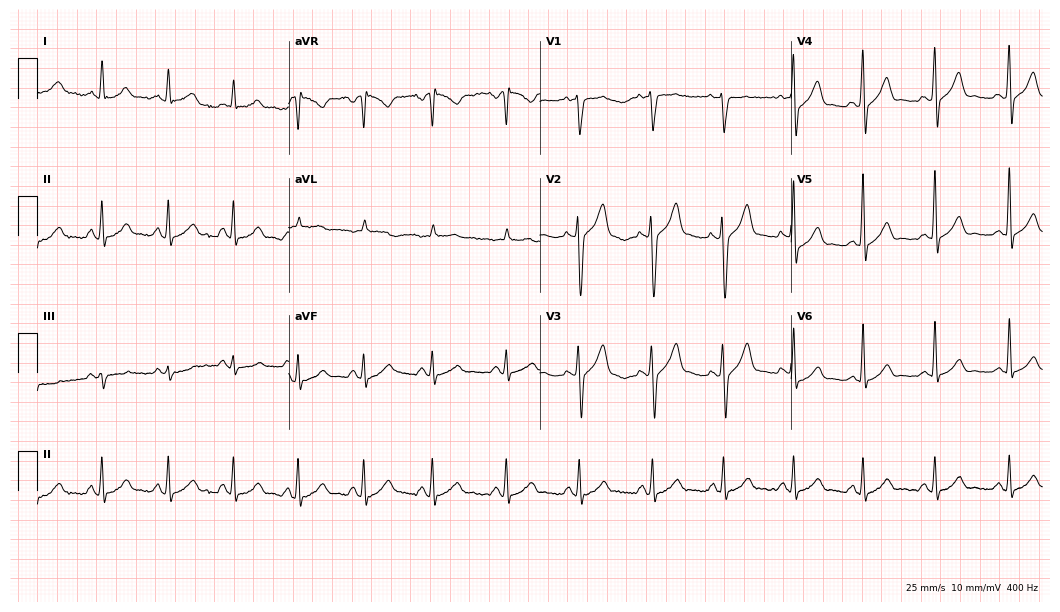
12-lead ECG (10.2-second recording at 400 Hz) from a 57-year-old male patient. Labelled as a normal ECG.